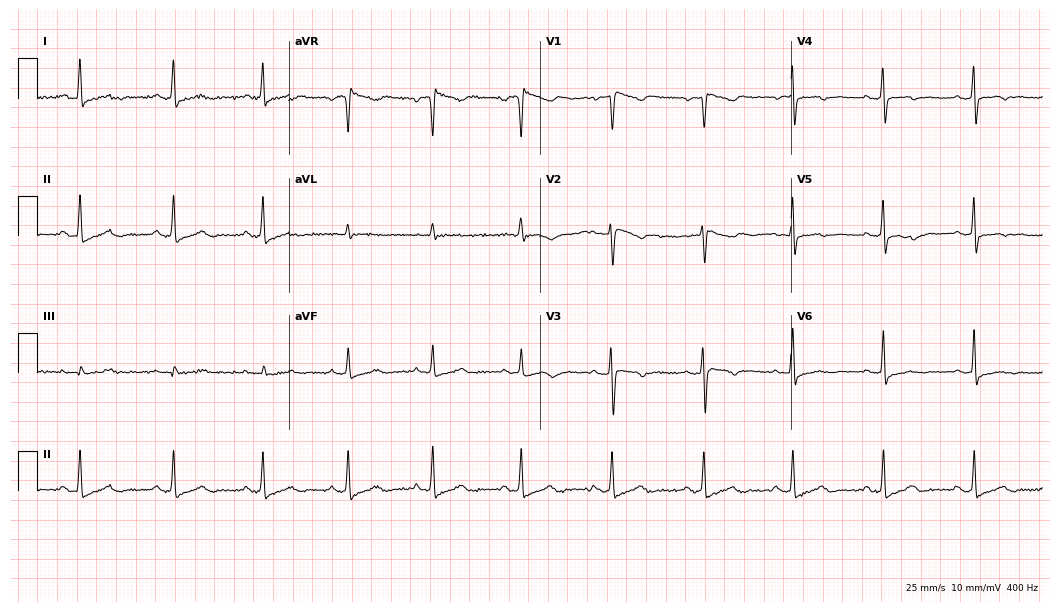
Electrocardiogram, a 46-year-old woman. Of the six screened findings (first-degree AV block, right bundle branch block, left bundle branch block, sinus bradycardia, atrial fibrillation, sinus tachycardia), none is recorded. Findings outside these six are not listed.